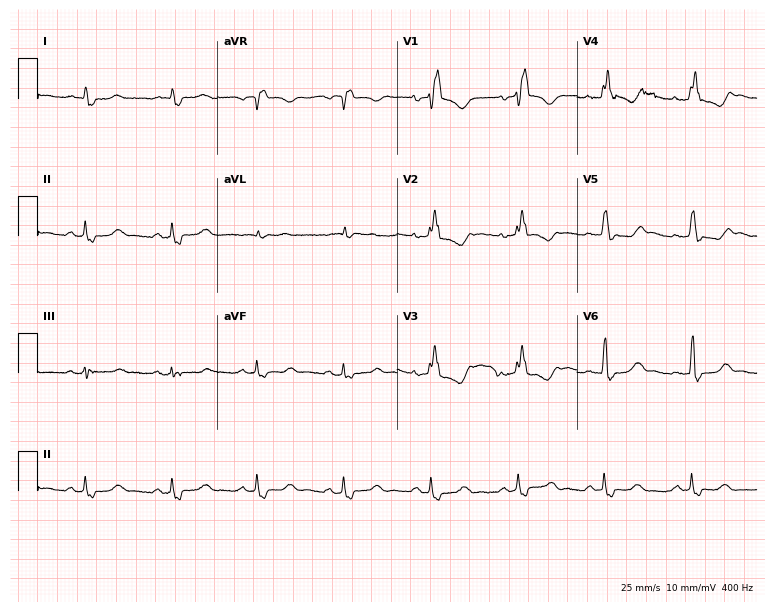
12-lead ECG from a female patient, 54 years old. Findings include right bundle branch block.